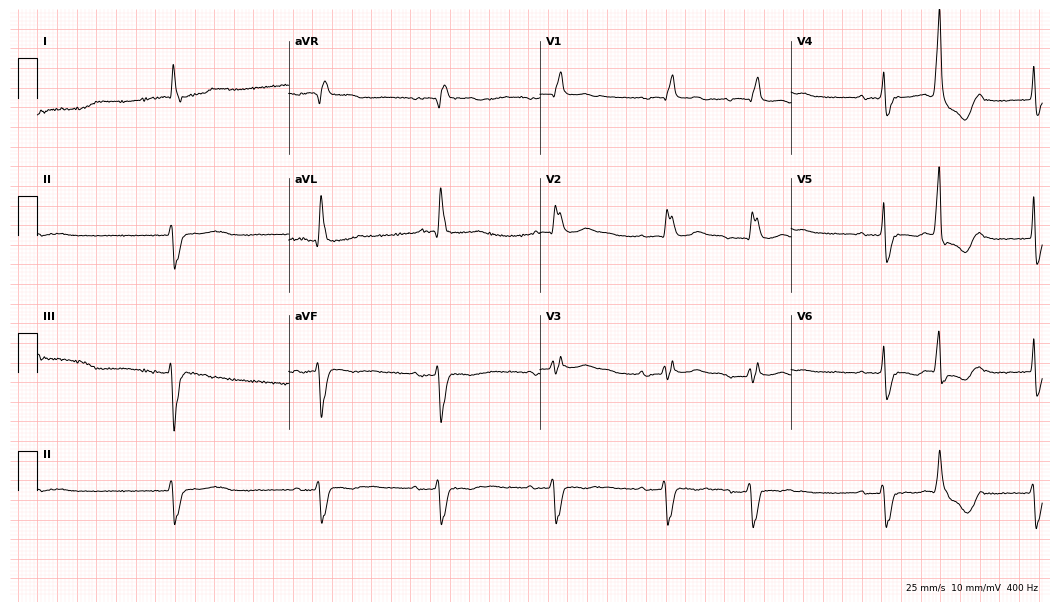
Resting 12-lead electrocardiogram (10.2-second recording at 400 Hz). Patient: a 67-year-old female. None of these six findings is recorded: first-degree AV block, right bundle branch block (RBBB), left bundle branch block (LBBB), sinus bradycardia, atrial fibrillation (AF), sinus tachycardia.